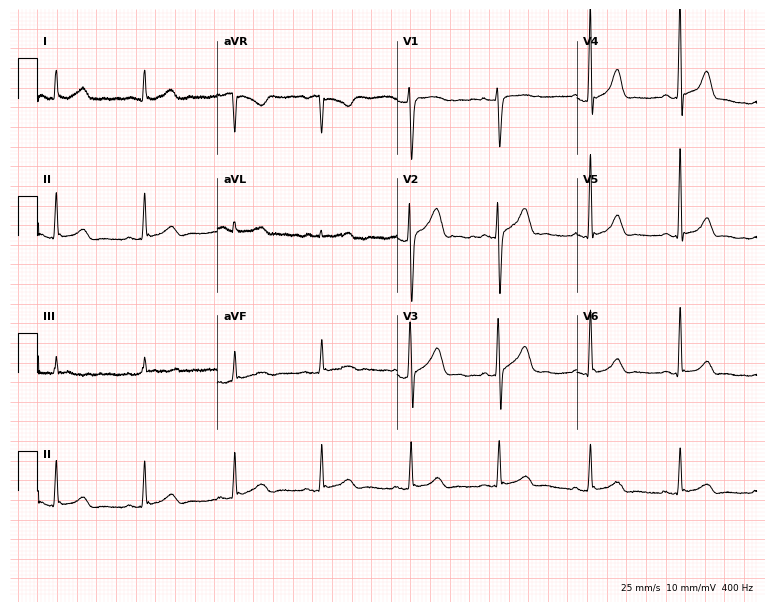
ECG — a 43-year-old male patient. Labelled as a normal ECG.